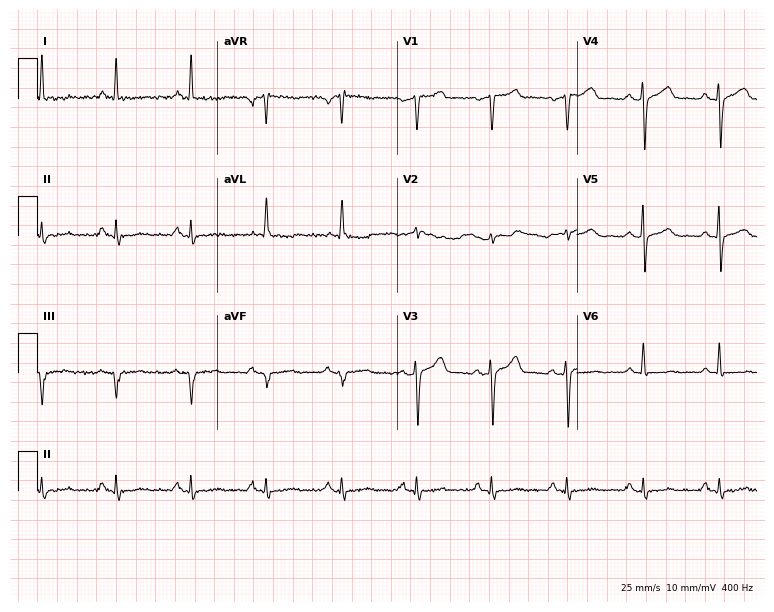
12-lead ECG (7.3-second recording at 400 Hz) from a 68-year-old male. Screened for six findings — first-degree AV block, right bundle branch block, left bundle branch block, sinus bradycardia, atrial fibrillation, sinus tachycardia — none is recorded. Other findings, if any, are not listed.